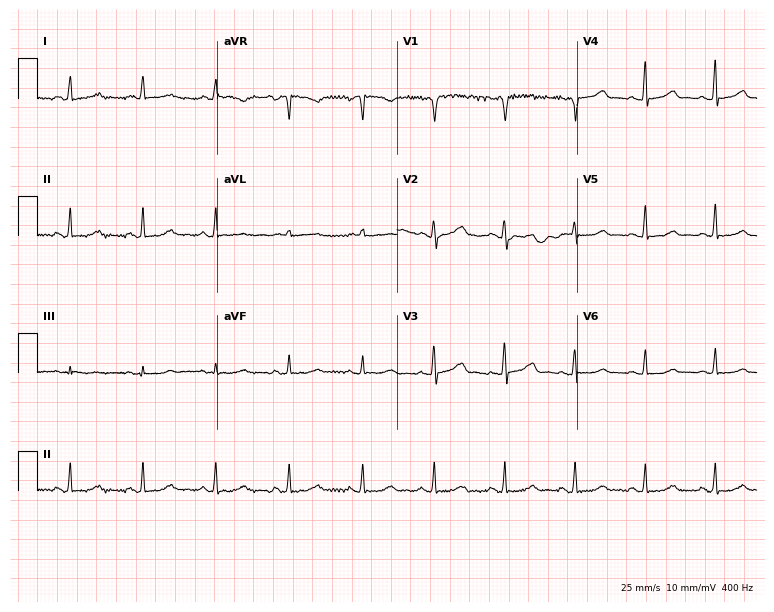
Electrocardiogram (7.3-second recording at 400 Hz), a 43-year-old female patient. Overall reading on record: normal ECG.